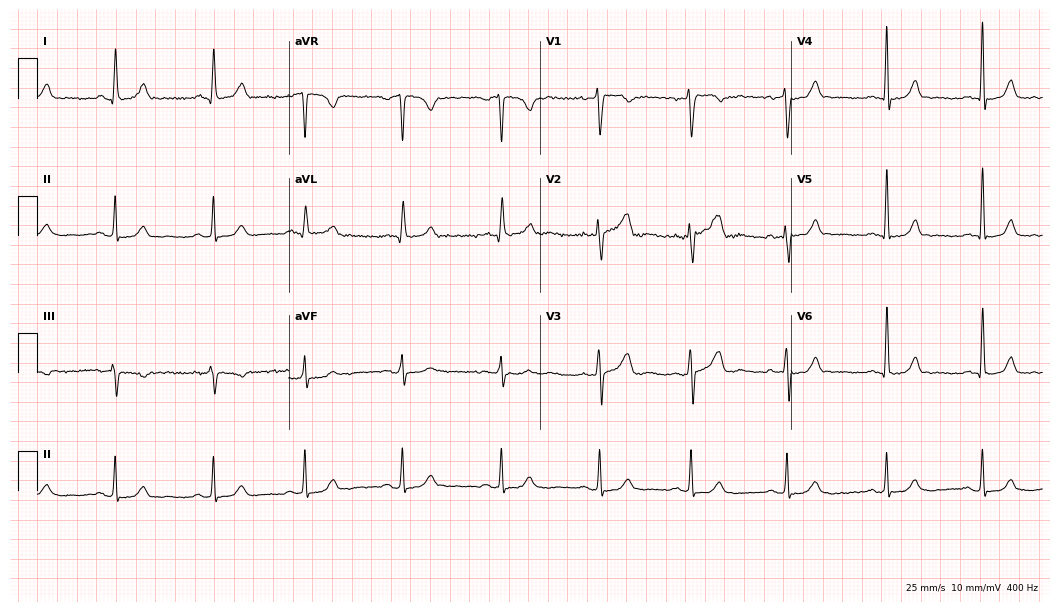
12-lead ECG from a 47-year-old female patient (10.2-second recording at 400 Hz). No first-degree AV block, right bundle branch block, left bundle branch block, sinus bradycardia, atrial fibrillation or sinus tachycardia recorded for this tracing. Other findings, if any, are not listed.